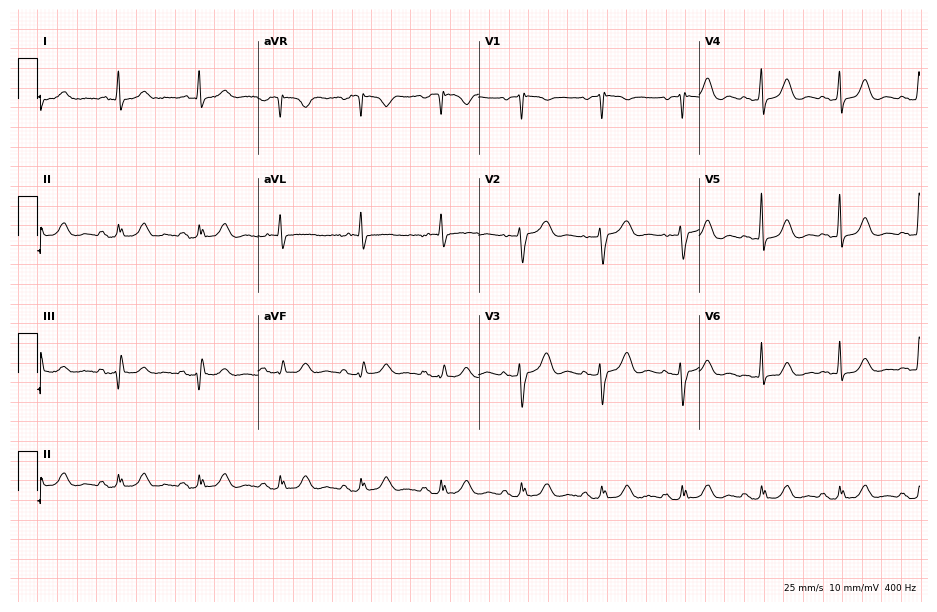
Standard 12-lead ECG recorded from an 80-year-old male. Read as a normal ECG.